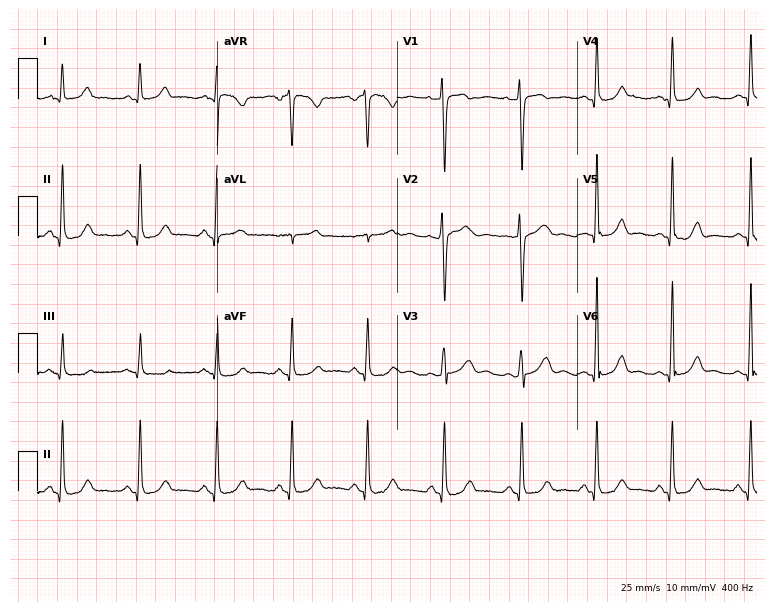
12-lead ECG from a 47-year-old female patient (7.3-second recording at 400 Hz). No first-degree AV block, right bundle branch block, left bundle branch block, sinus bradycardia, atrial fibrillation or sinus tachycardia recorded for this tracing.